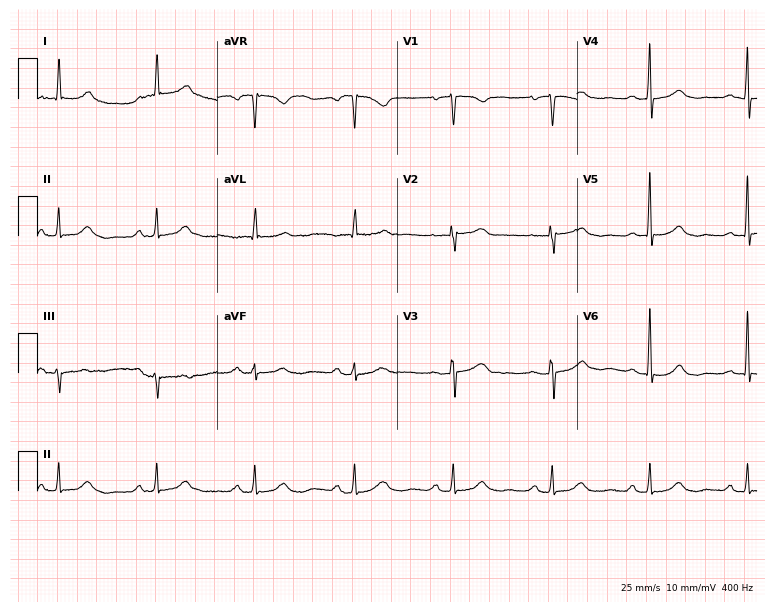
Resting 12-lead electrocardiogram (7.3-second recording at 400 Hz). Patient: a 71-year-old female. None of these six findings is recorded: first-degree AV block, right bundle branch block, left bundle branch block, sinus bradycardia, atrial fibrillation, sinus tachycardia.